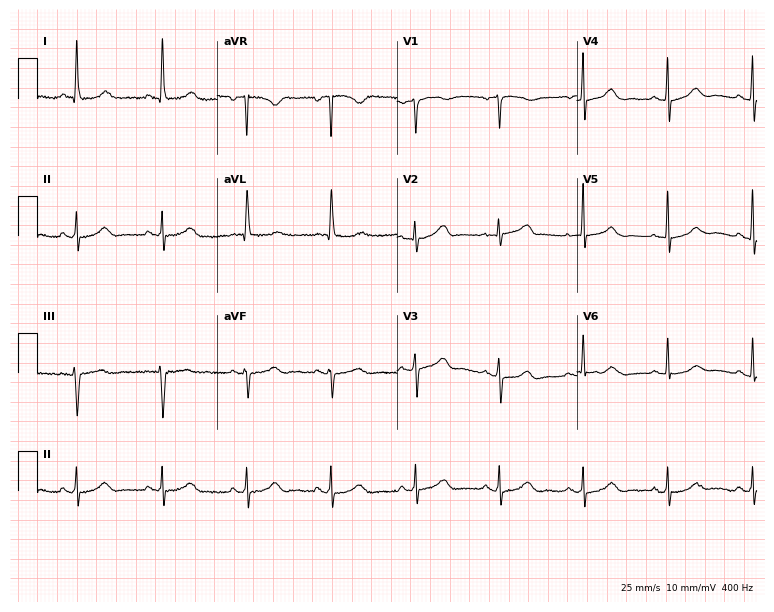
ECG (7.3-second recording at 400 Hz) — an 85-year-old female patient. Labelled as a normal ECG.